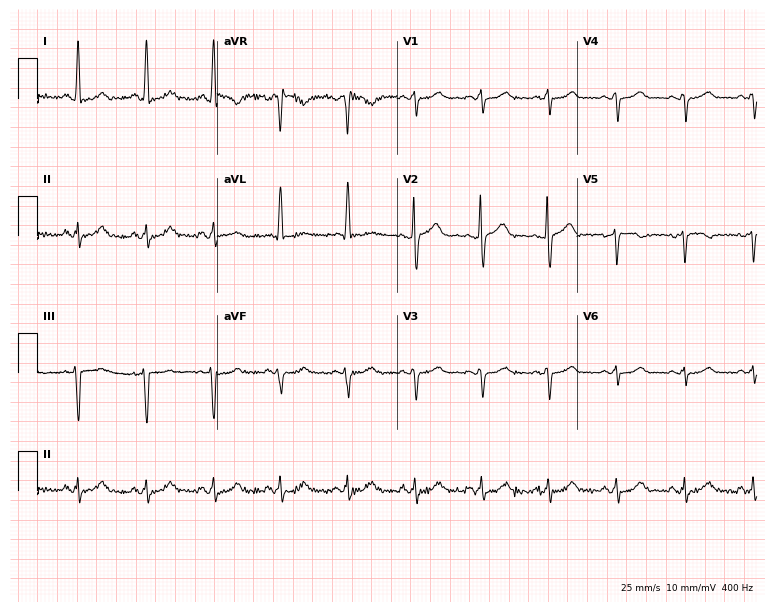
Resting 12-lead electrocardiogram (7.3-second recording at 400 Hz). Patient: a female, 51 years old. None of these six findings is recorded: first-degree AV block, right bundle branch block, left bundle branch block, sinus bradycardia, atrial fibrillation, sinus tachycardia.